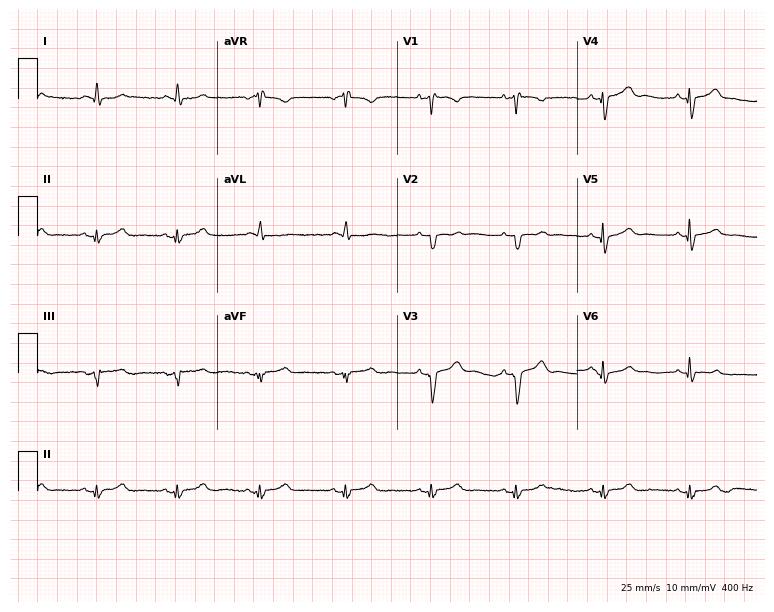
Standard 12-lead ECG recorded from a 79-year-old male patient. None of these six findings is recorded: first-degree AV block, right bundle branch block, left bundle branch block, sinus bradycardia, atrial fibrillation, sinus tachycardia.